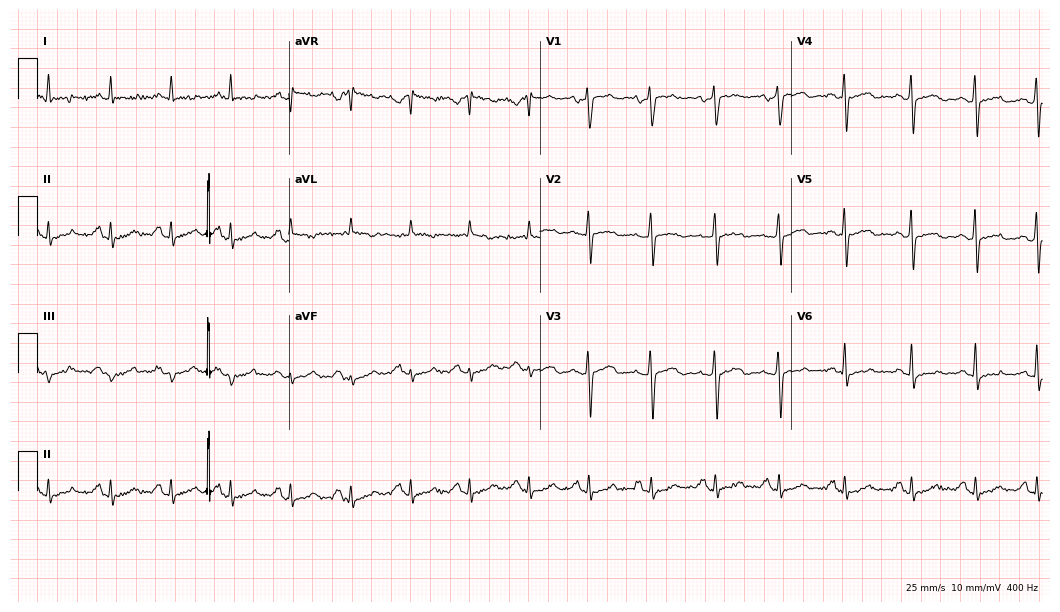
Resting 12-lead electrocardiogram (10.2-second recording at 400 Hz). Patient: a 63-year-old male. None of these six findings is recorded: first-degree AV block, right bundle branch block, left bundle branch block, sinus bradycardia, atrial fibrillation, sinus tachycardia.